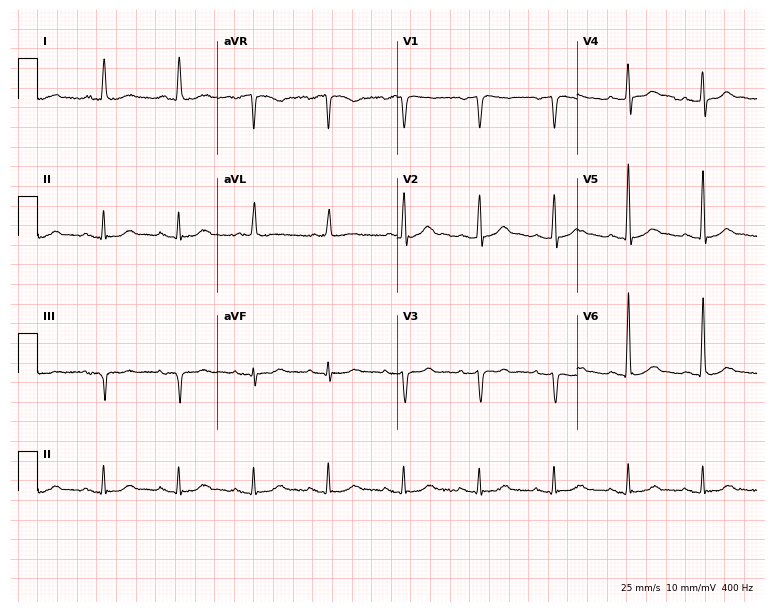
Resting 12-lead electrocardiogram (7.3-second recording at 400 Hz). Patient: a 77-year-old female. None of these six findings is recorded: first-degree AV block, right bundle branch block, left bundle branch block, sinus bradycardia, atrial fibrillation, sinus tachycardia. Only these six findings were labelled.